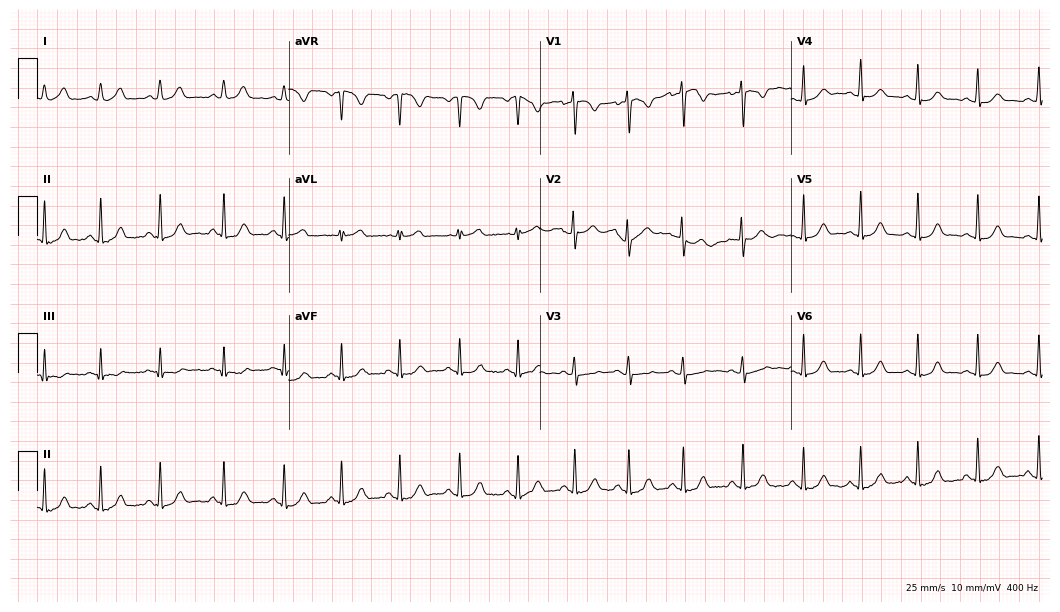
ECG (10.2-second recording at 400 Hz) — a female, 17 years old. Findings include sinus tachycardia (a sinus rate of 100 beats per minute or more).